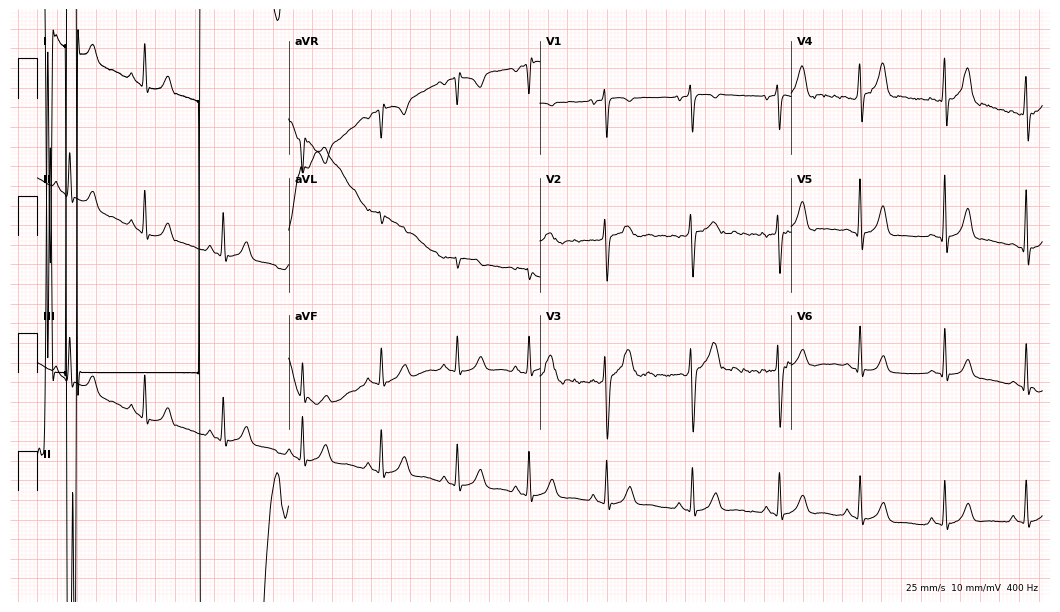
Electrocardiogram, a 17-year-old male. Of the six screened findings (first-degree AV block, right bundle branch block, left bundle branch block, sinus bradycardia, atrial fibrillation, sinus tachycardia), none is recorded.